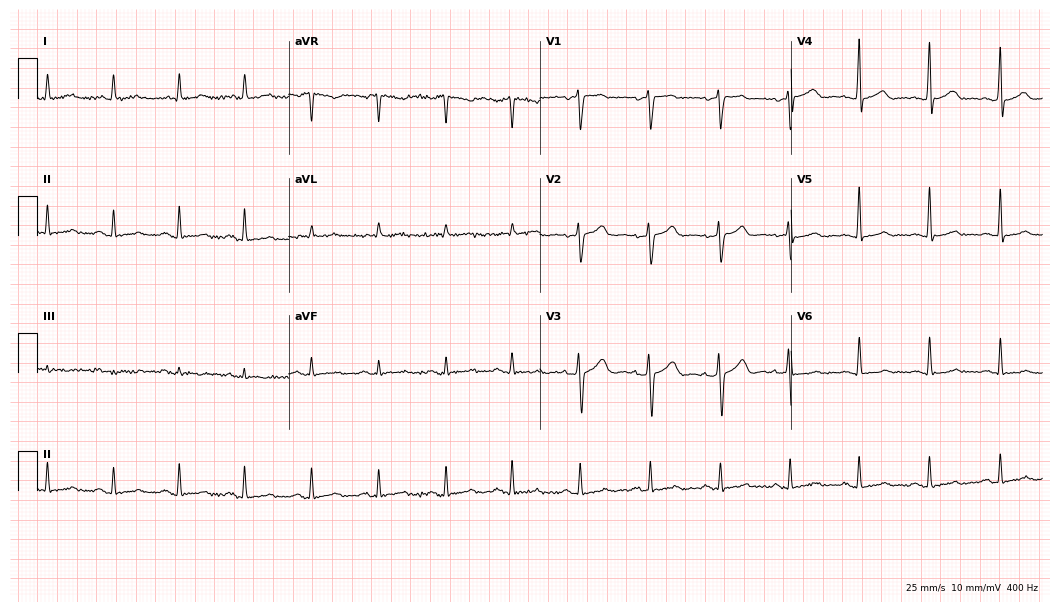
12-lead ECG from a male patient, 69 years old (10.2-second recording at 400 Hz). Recorded interpretation: within normal limits.